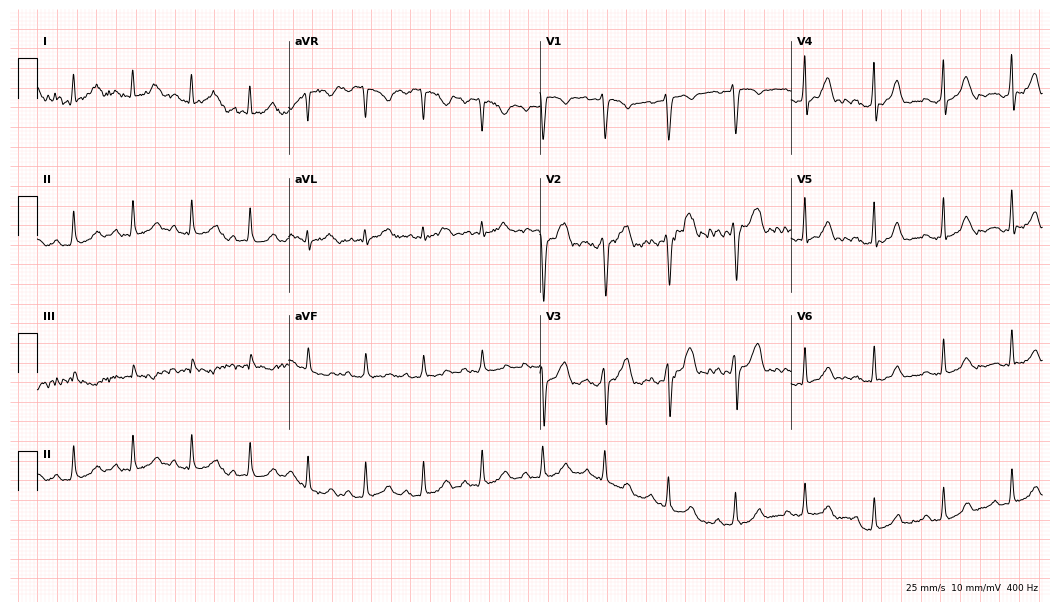
Electrocardiogram (10.2-second recording at 400 Hz), a 35-year-old female patient. Overall reading on record: normal ECG.